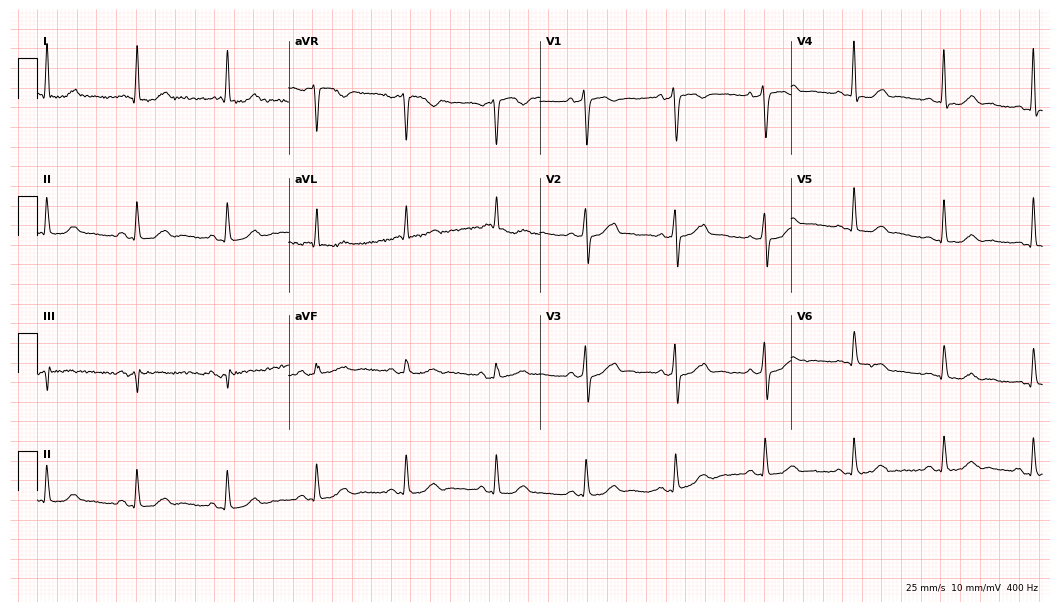
ECG (10.2-second recording at 400 Hz) — a female patient, 71 years old. Labelled as a normal ECG.